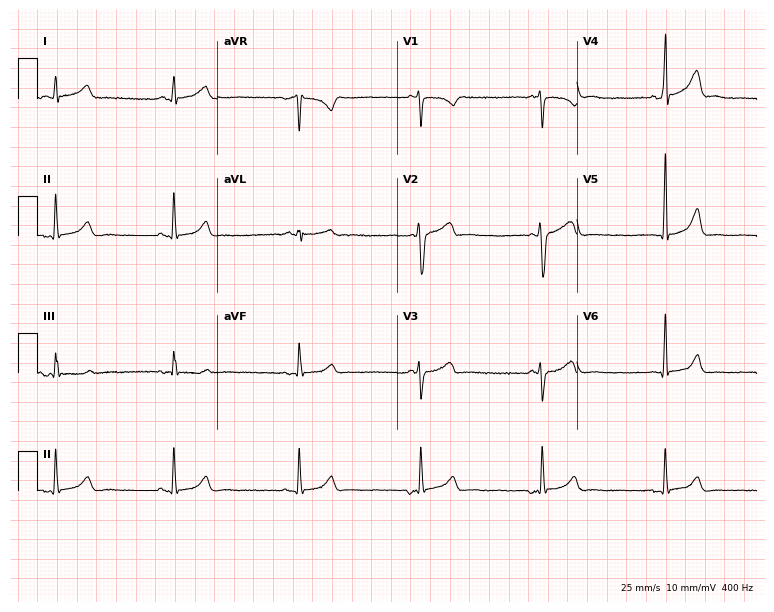
Standard 12-lead ECG recorded from a 39-year-old man (7.3-second recording at 400 Hz). Read as a normal ECG.